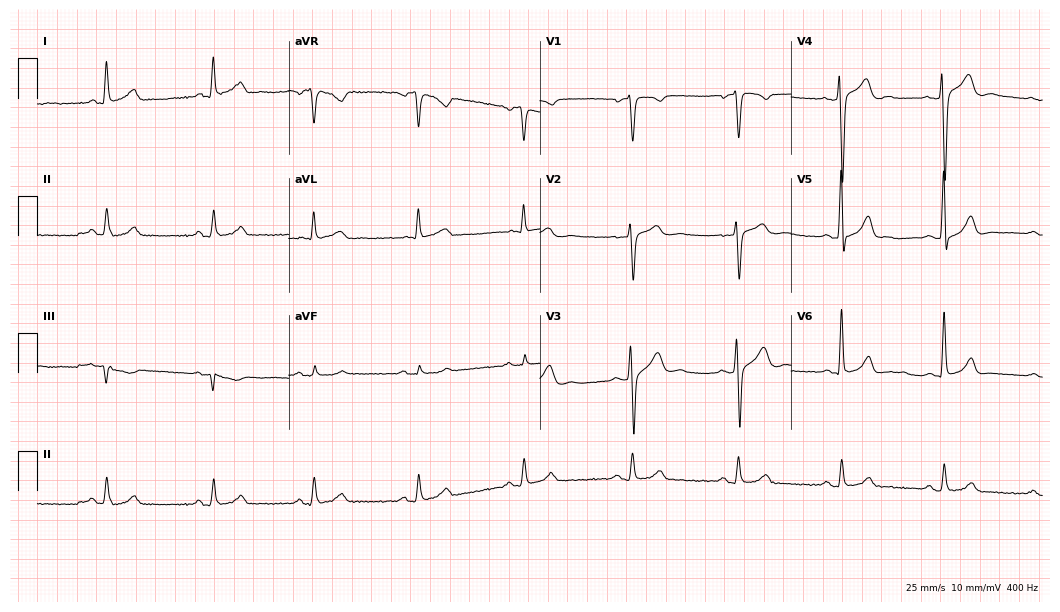
12-lead ECG (10.2-second recording at 400 Hz) from a man, 35 years old. Labelled as a normal ECG.